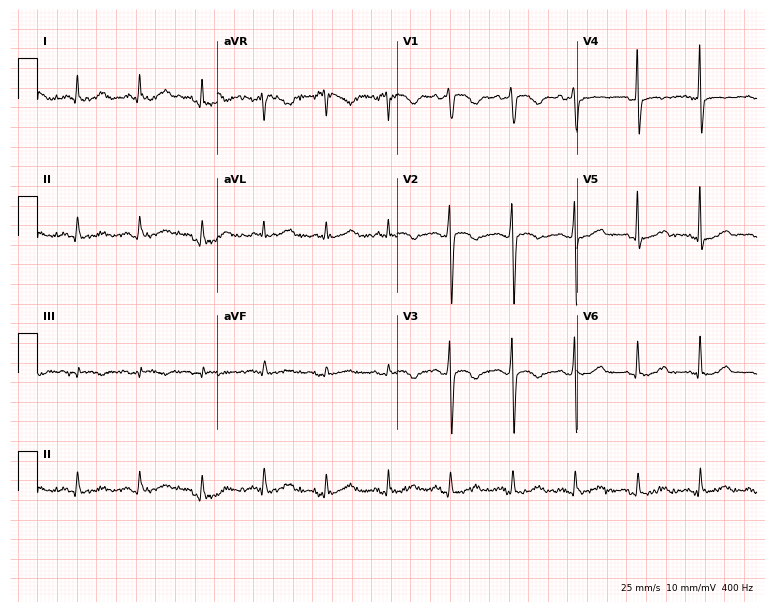
12-lead ECG from a 78-year-old man. Screened for six findings — first-degree AV block, right bundle branch block, left bundle branch block, sinus bradycardia, atrial fibrillation, sinus tachycardia — none is recorded.